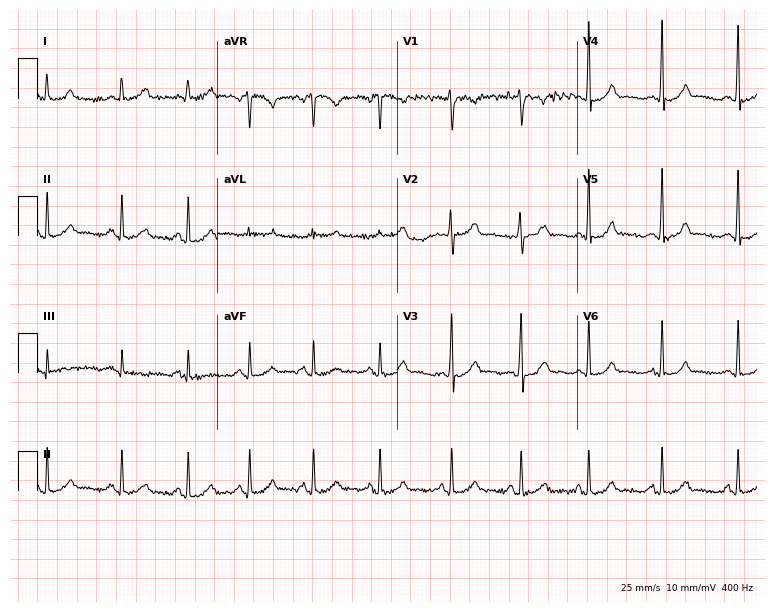
Resting 12-lead electrocardiogram (7.3-second recording at 400 Hz). Patient: a female, 31 years old. Read as a normal ECG.